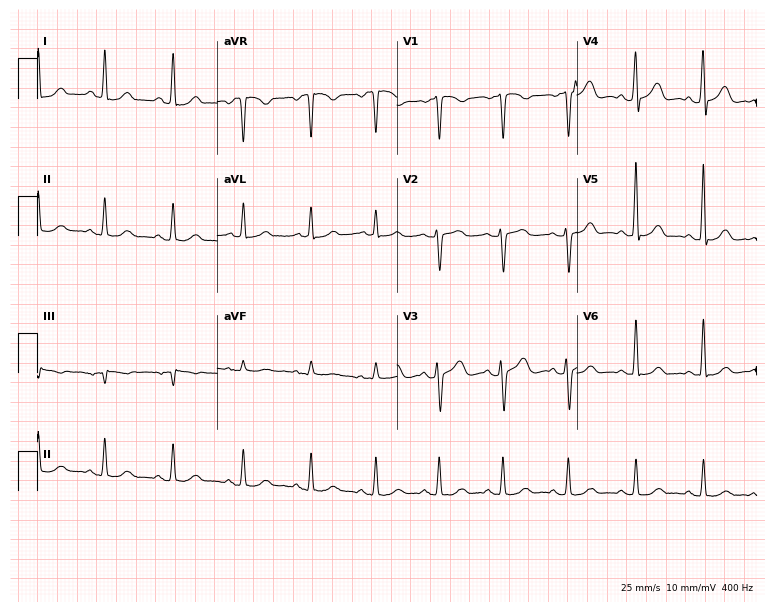
12-lead ECG (7.3-second recording at 400 Hz) from a female, 40 years old. Screened for six findings — first-degree AV block, right bundle branch block, left bundle branch block, sinus bradycardia, atrial fibrillation, sinus tachycardia — none is recorded.